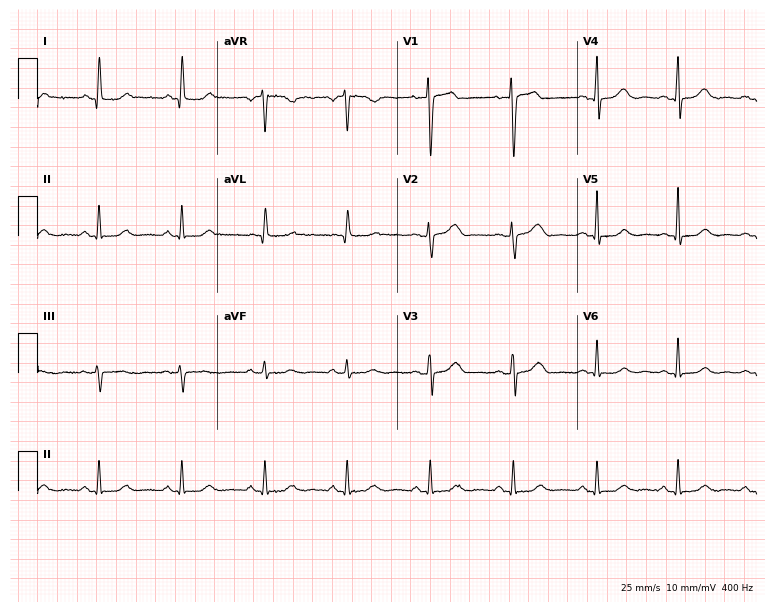
Electrocardiogram, a female, 55 years old. Of the six screened findings (first-degree AV block, right bundle branch block, left bundle branch block, sinus bradycardia, atrial fibrillation, sinus tachycardia), none is recorded.